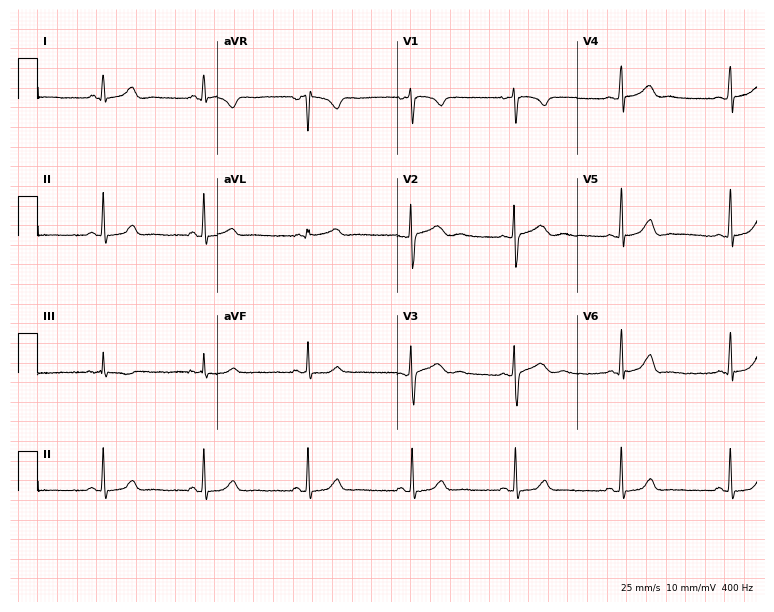
ECG — a 19-year-old woman. Screened for six findings — first-degree AV block, right bundle branch block, left bundle branch block, sinus bradycardia, atrial fibrillation, sinus tachycardia — none is recorded.